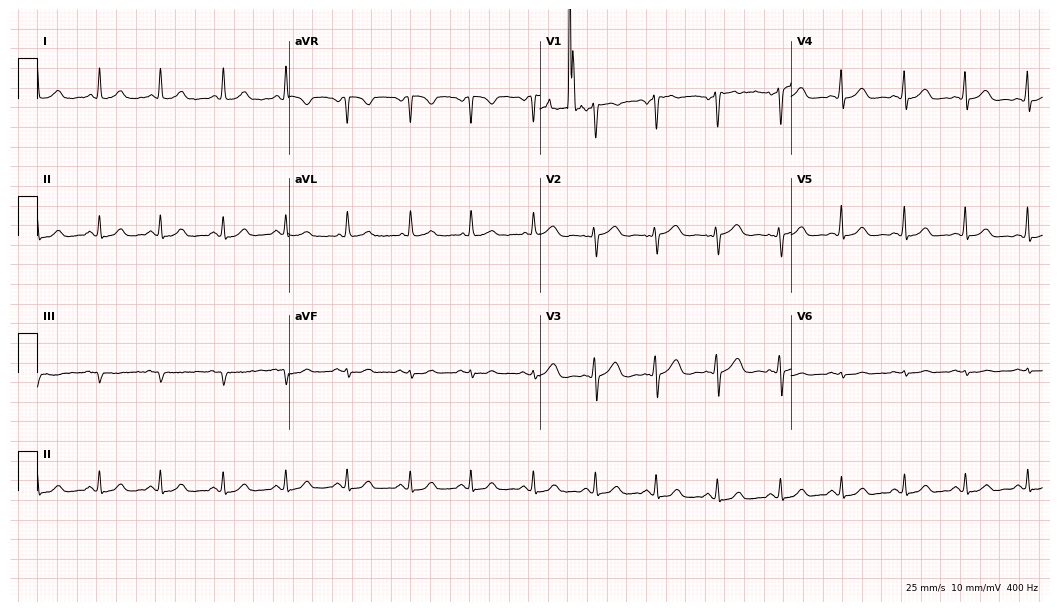
ECG — a 51-year-old female. Screened for six findings — first-degree AV block, right bundle branch block, left bundle branch block, sinus bradycardia, atrial fibrillation, sinus tachycardia — none is recorded. Only these six findings were labelled.